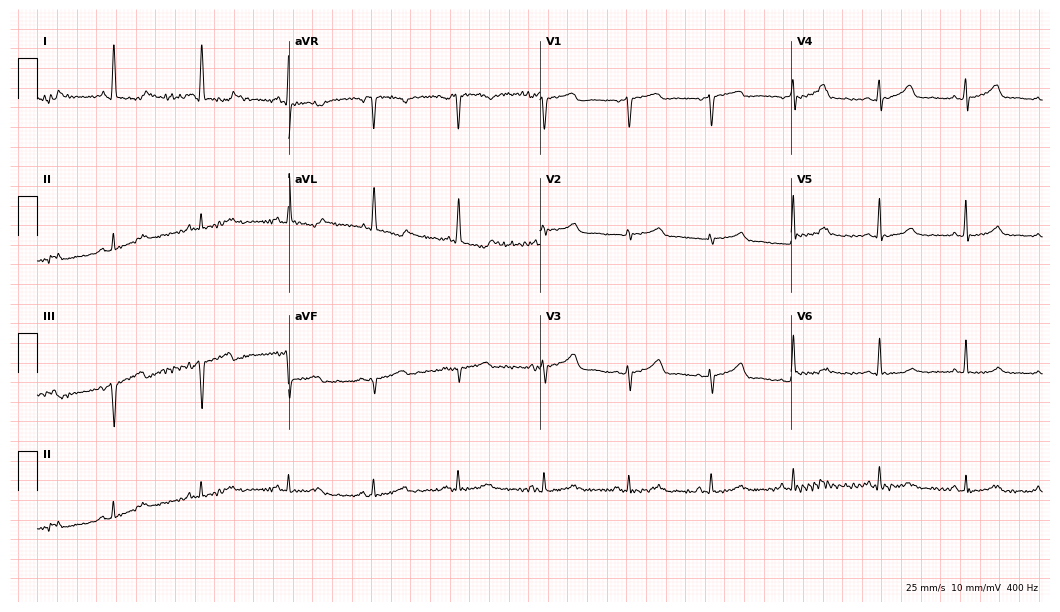
Resting 12-lead electrocardiogram. Patient: a woman, 62 years old. None of these six findings is recorded: first-degree AV block, right bundle branch block, left bundle branch block, sinus bradycardia, atrial fibrillation, sinus tachycardia. Only these six findings were labelled.